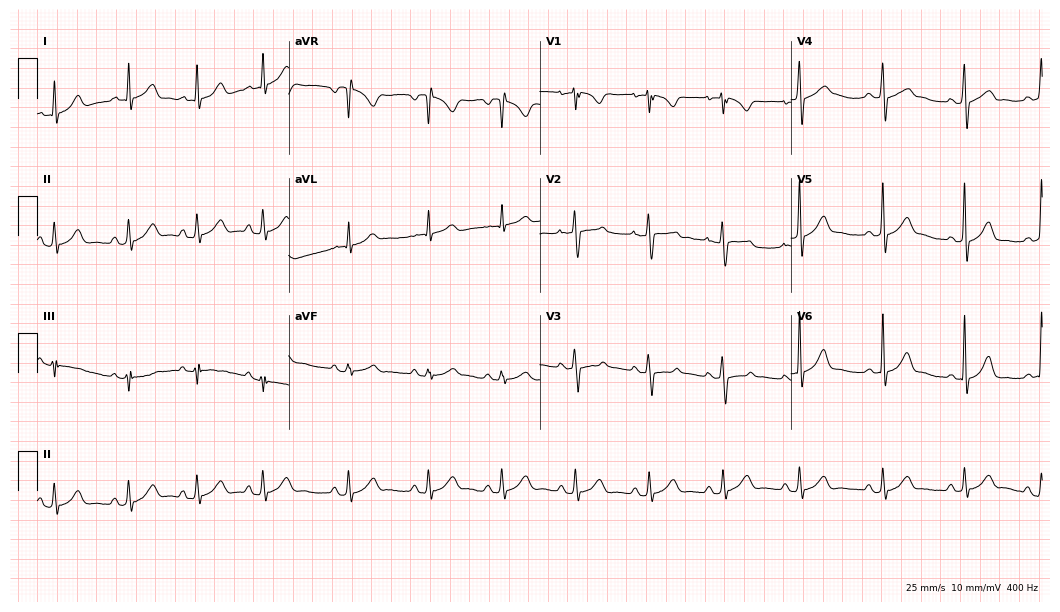
12-lead ECG (10.2-second recording at 400 Hz) from a female patient, 25 years old. Labelled as a normal ECG.